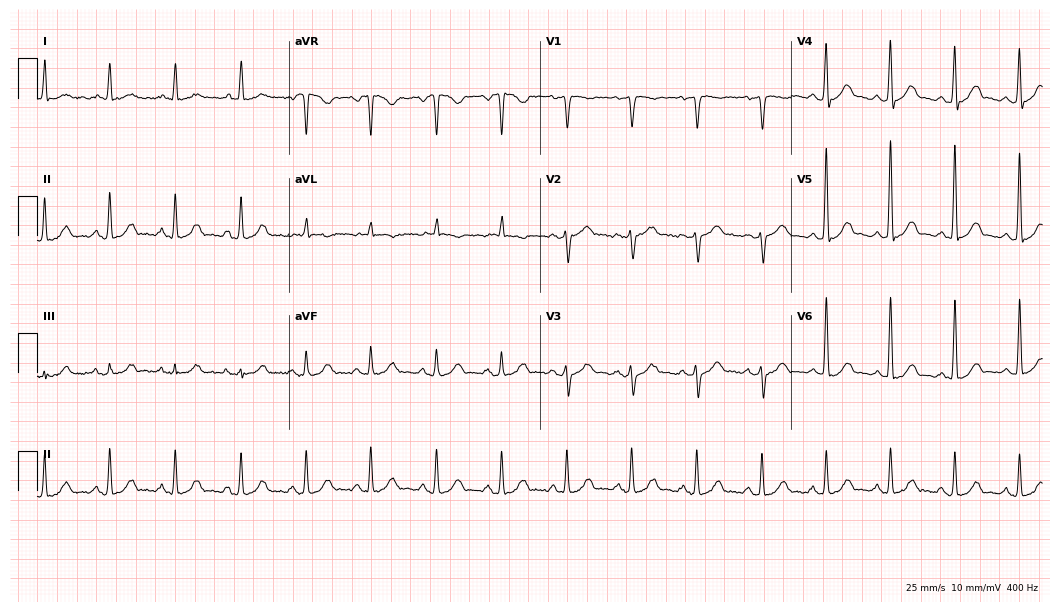
12-lead ECG from a 60-year-old male patient. Labelled as a normal ECG.